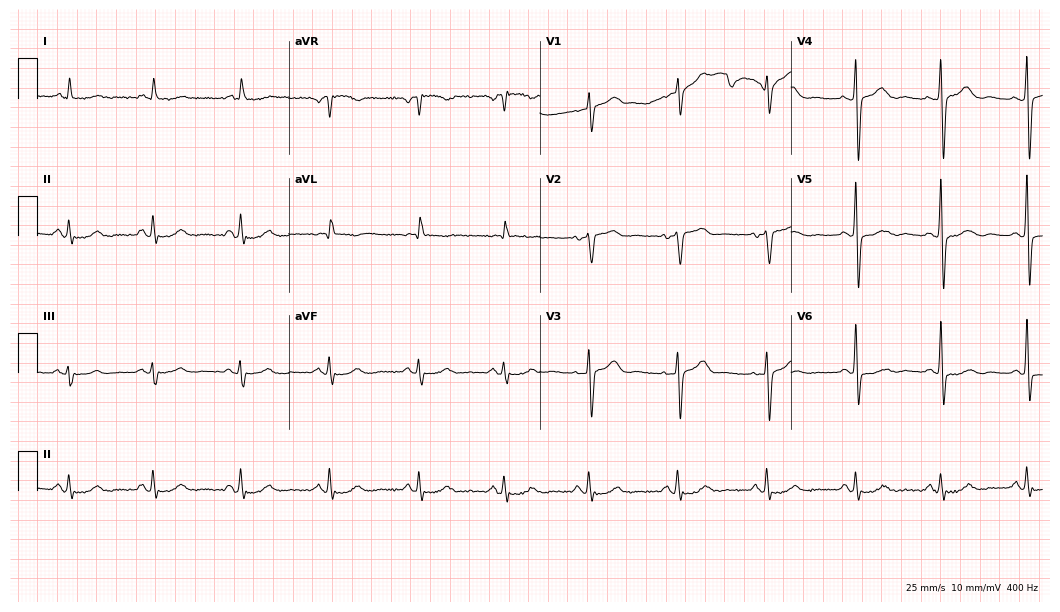
ECG (10.2-second recording at 400 Hz) — a 61-year-old woman. Labelled as a normal ECG.